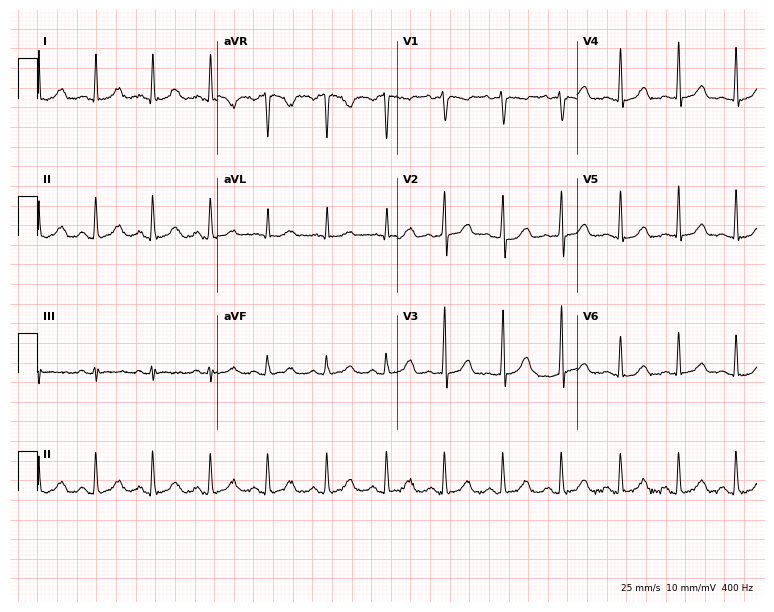
Standard 12-lead ECG recorded from a woman, 23 years old (7.3-second recording at 400 Hz). Read as a normal ECG.